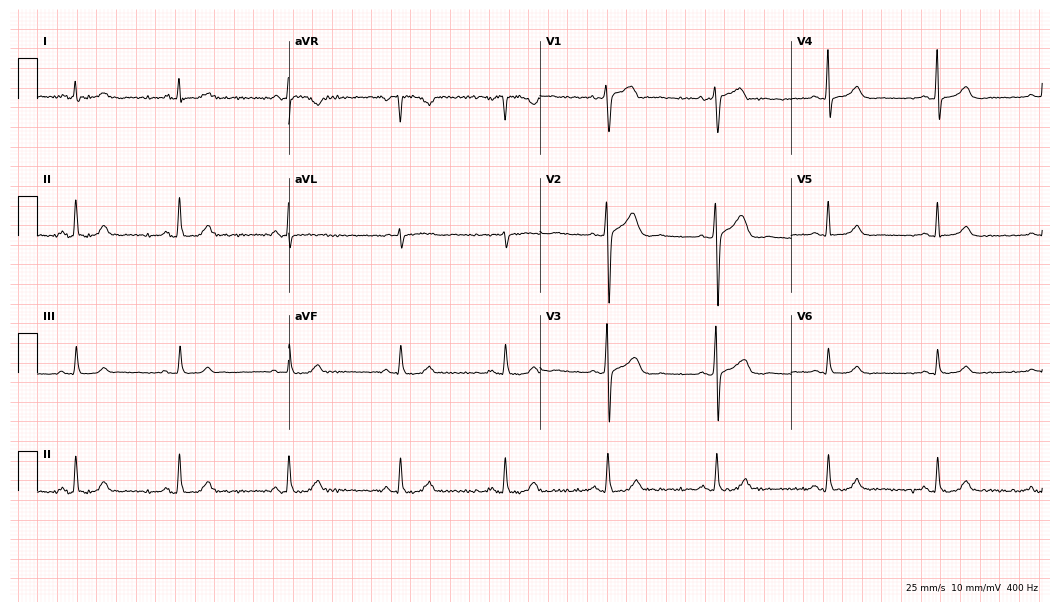
Standard 12-lead ECG recorded from a 50-year-old woman (10.2-second recording at 400 Hz). None of these six findings is recorded: first-degree AV block, right bundle branch block, left bundle branch block, sinus bradycardia, atrial fibrillation, sinus tachycardia.